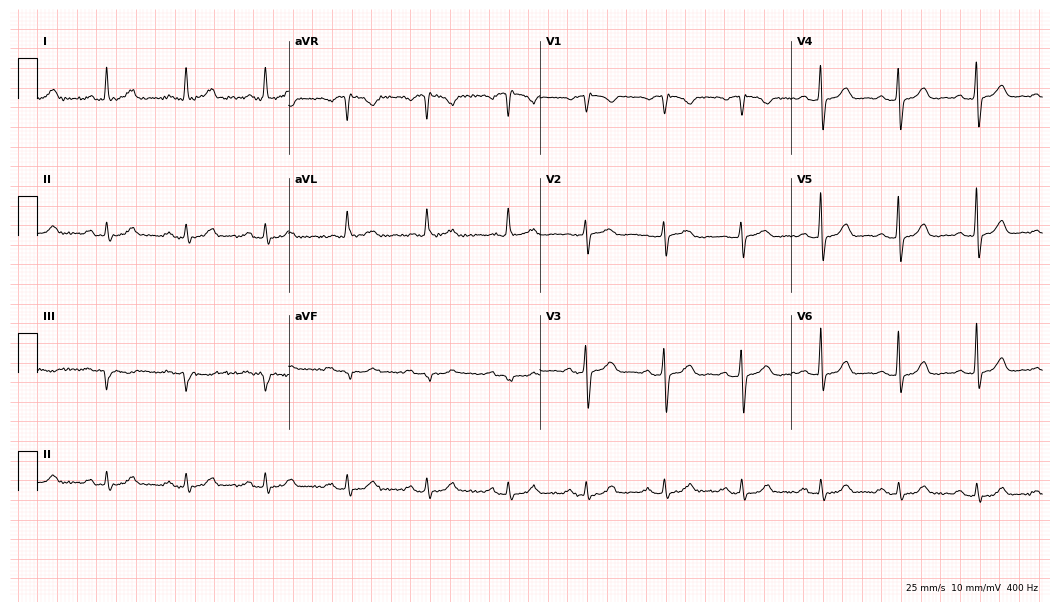
Standard 12-lead ECG recorded from a woman, 80 years old (10.2-second recording at 400 Hz). Read as a normal ECG.